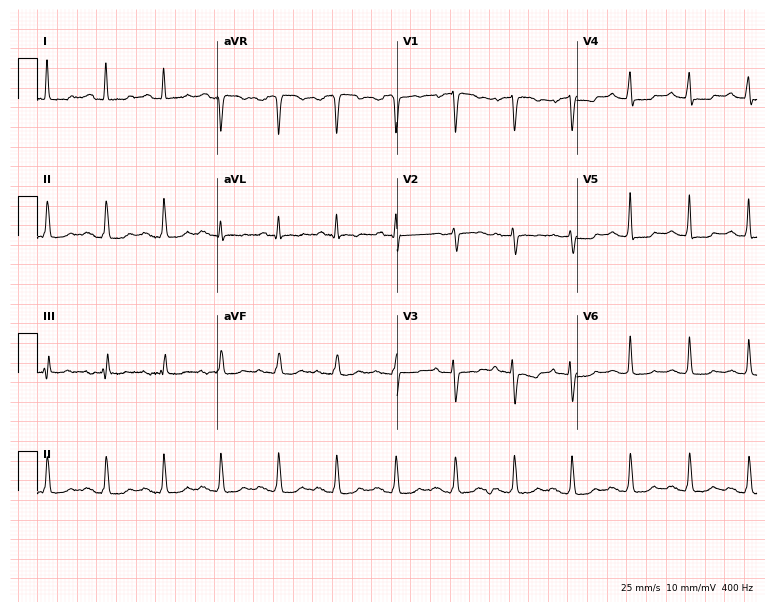
12-lead ECG from a female patient, 68 years old. Shows sinus tachycardia (a sinus rate of 100 beats per minute or more).